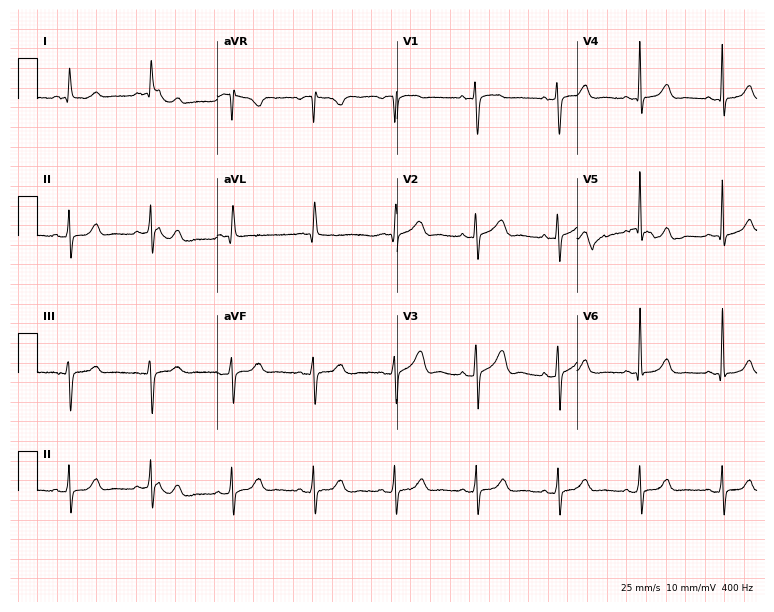
12-lead ECG from a female patient, 78 years old. Screened for six findings — first-degree AV block, right bundle branch block (RBBB), left bundle branch block (LBBB), sinus bradycardia, atrial fibrillation (AF), sinus tachycardia — none is recorded.